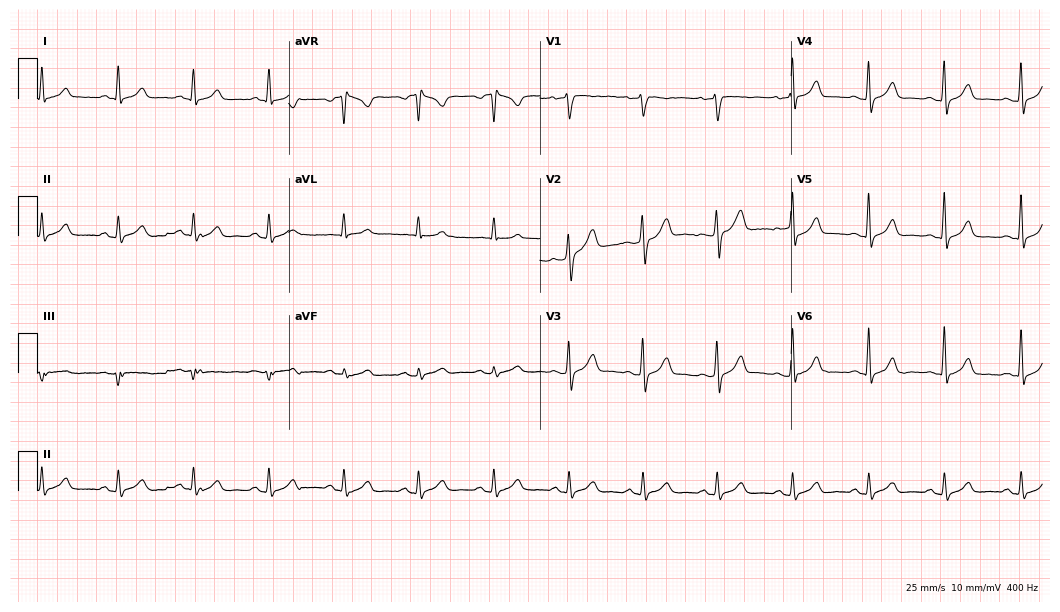
12-lead ECG from a male patient, 53 years old. Recorded interpretation: within normal limits.